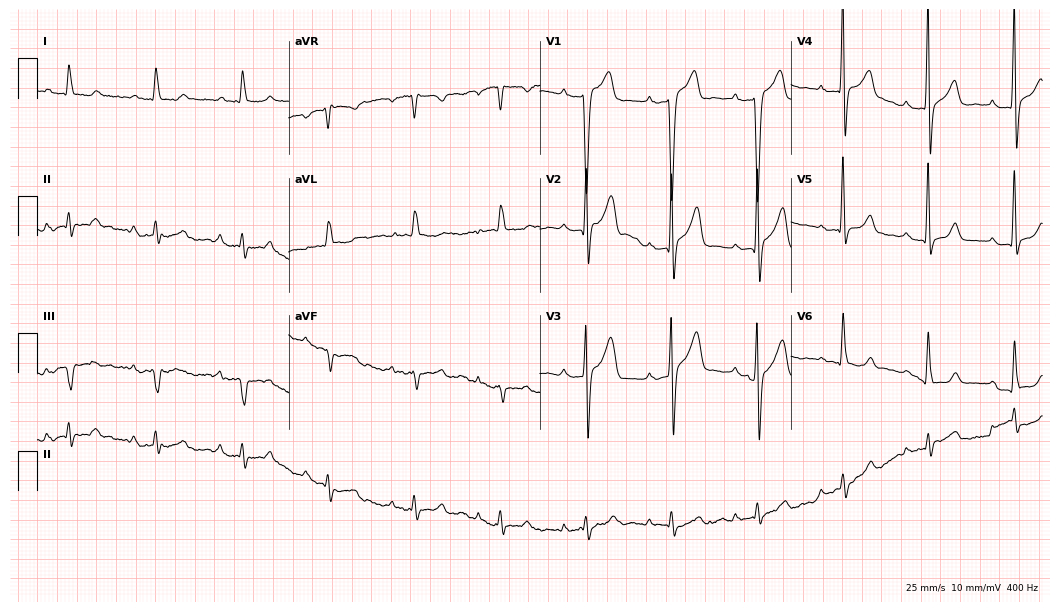
Standard 12-lead ECG recorded from a male patient, 51 years old. The tracing shows first-degree AV block.